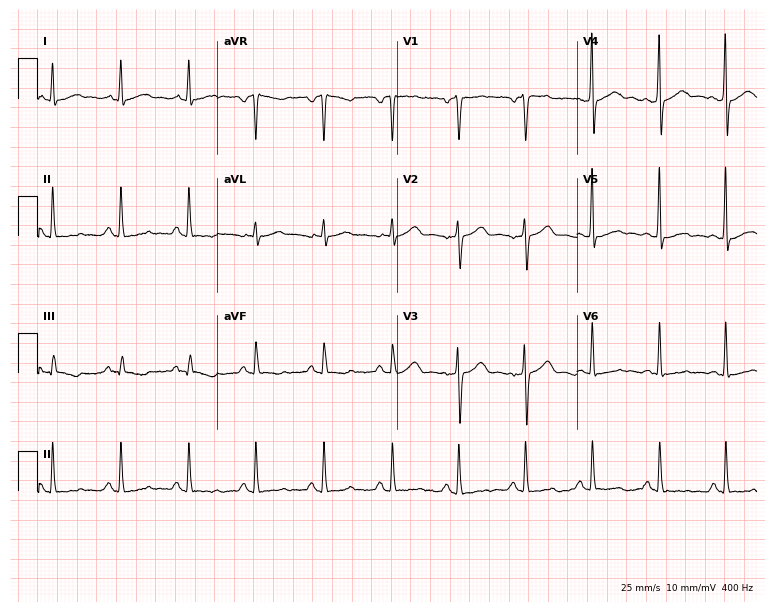
Electrocardiogram, a female patient, 41 years old. Of the six screened findings (first-degree AV block, right bundle branch block (RBBB), left bundle branch block (LBBB), sinus bradycardia, atrial fibrillation (AF), sinus tachycardia), none is recorded.